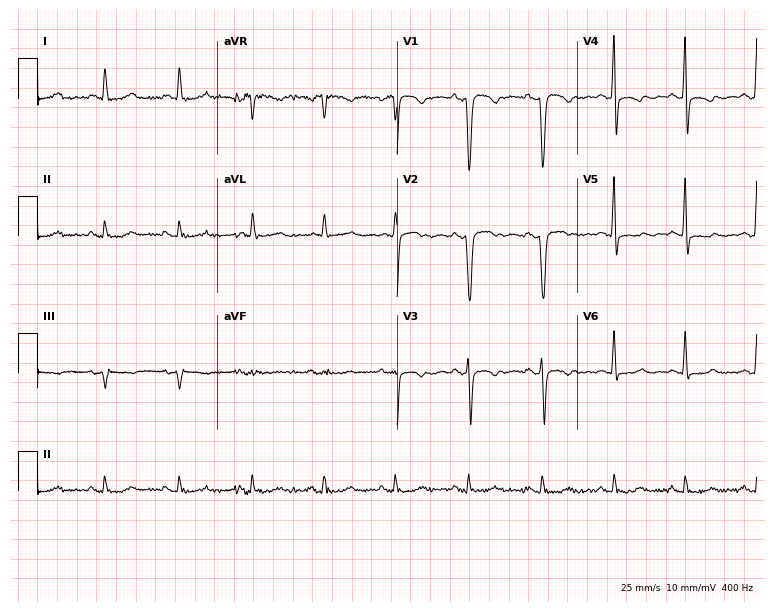
Resting 12-lead electrocardiogram (7.3-second recording at 400 Hz). Patient: a woman, 62 years old. Read as a normal ECG.